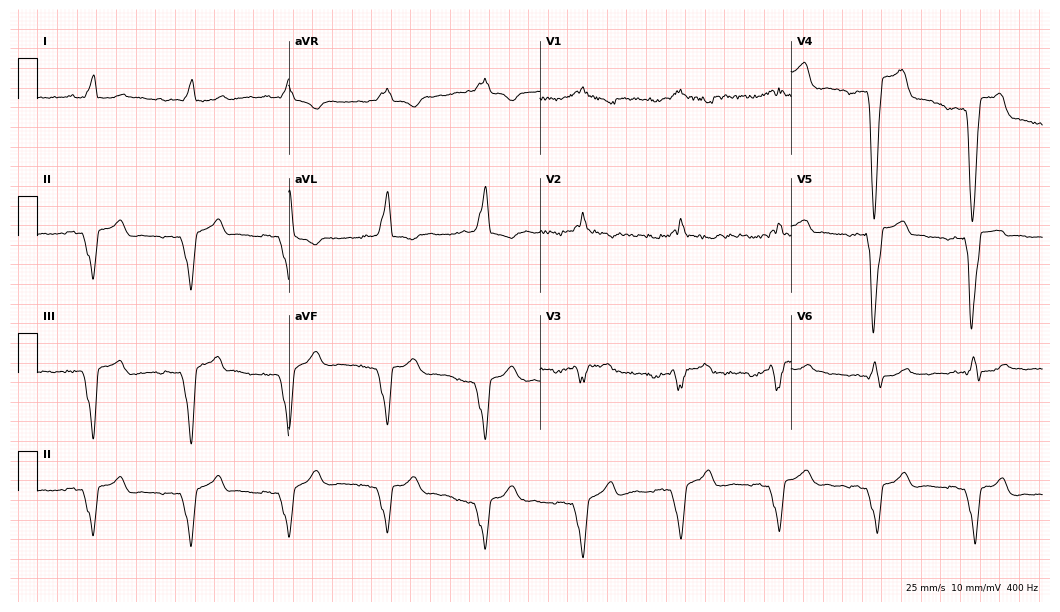
Resting 12-lead electrocardiogram. Patient: a 63-year-old man. None of these six findings is recorded: first-degree AV block, right bundle branch block, left bundle branch block, sinus bradycardia, atrial fibrillation, sinus tachycardia.